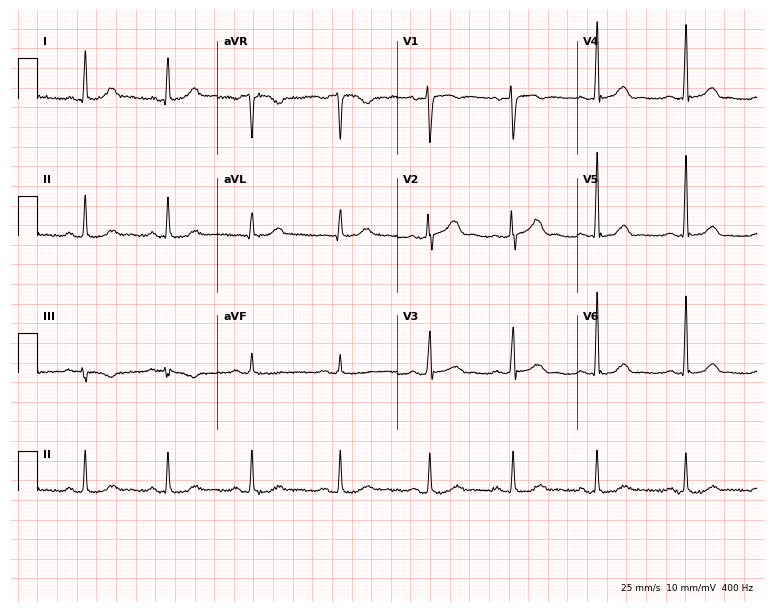
Standard 12-lead ECG recorded from a woman, 42 years old. Read as a normal ECG.